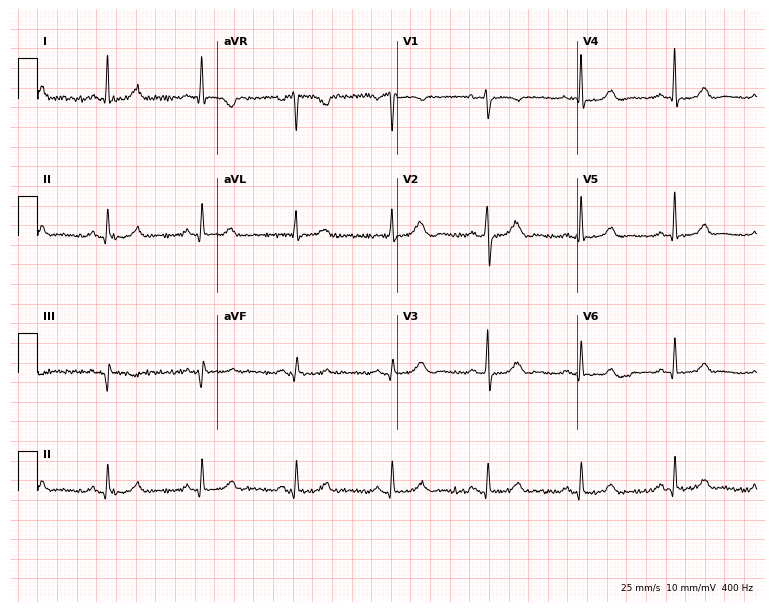
Electrocardiogram, a 61-year-old woman. Of the six screened findings (first-degree AV block, right bundle branch block (RBBB), left bundle branch block (LBBB), sinus bradycardia, atrial fibrillation (AF), sinus tachycardia), none is recorded.